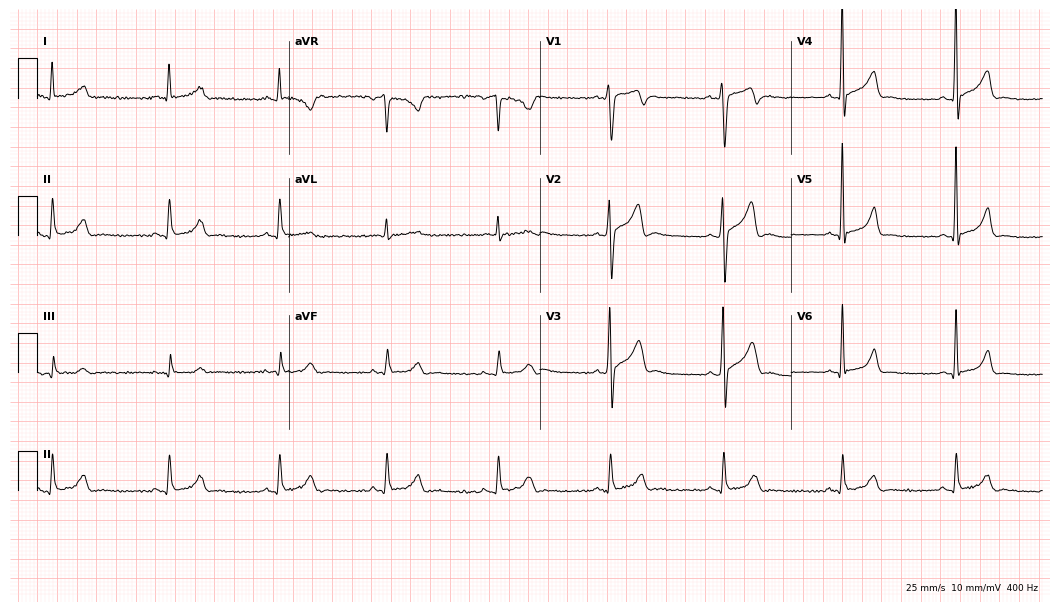
Resting 12-lead electrocardiogram (10.2-second recording at 400 Hz). Patient: a male, 33 years old. None of these six findings is recorded: first-degree AV block, right bundle branch block, left bundle branch block, sinus bradycardia, atrial fibrillation, sinus tachycardia. Only these six findings were labelled.